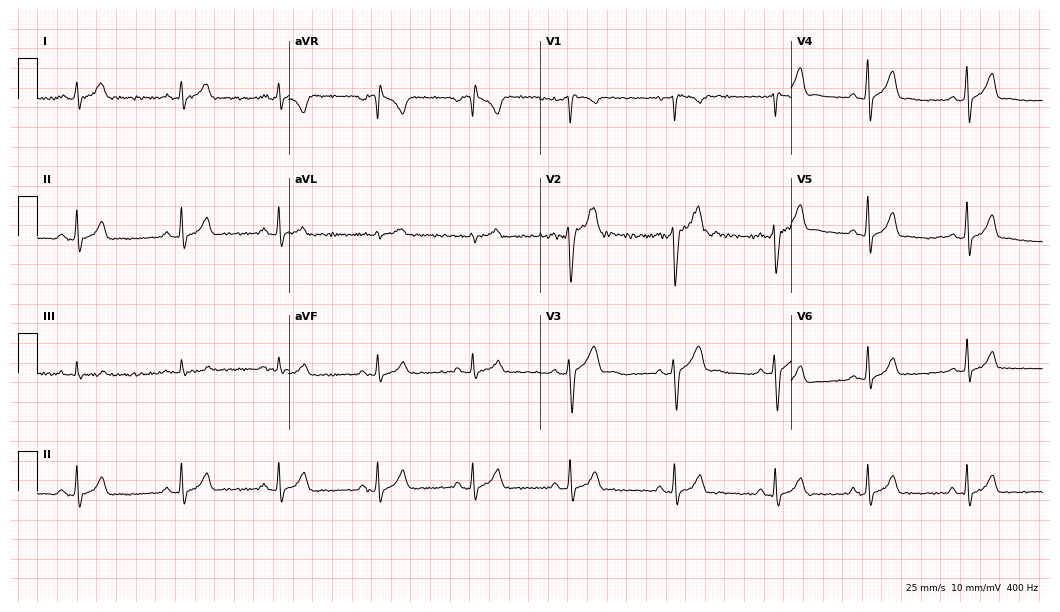
12-lead ECG from an 18-year-old male. Labelled as a normal ECG.